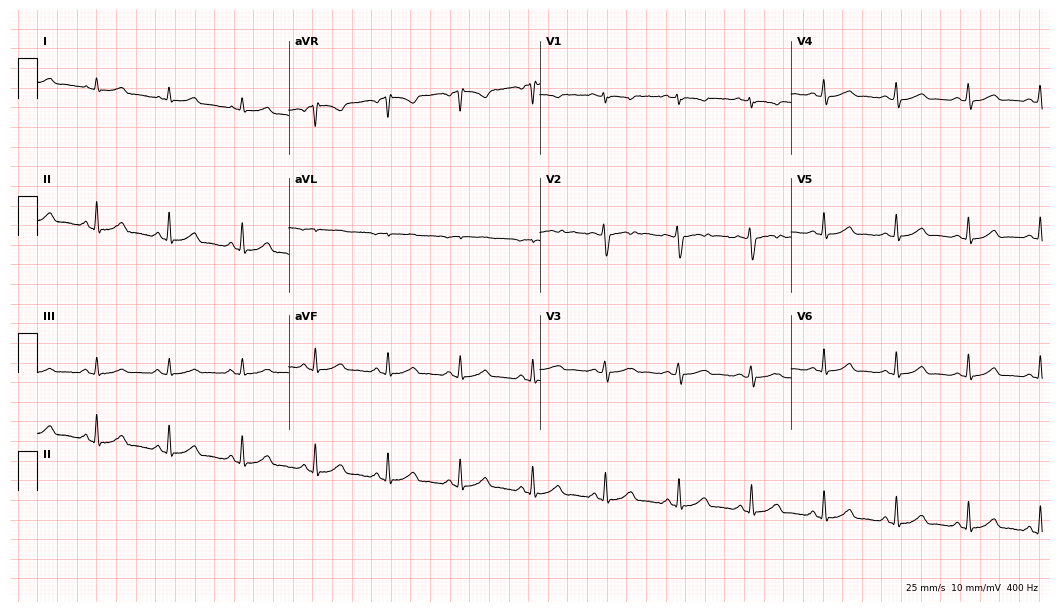
ECG (10.2-second recording at 400 Hz) — a woman, 62 years old. Labelled as a normal ECG.